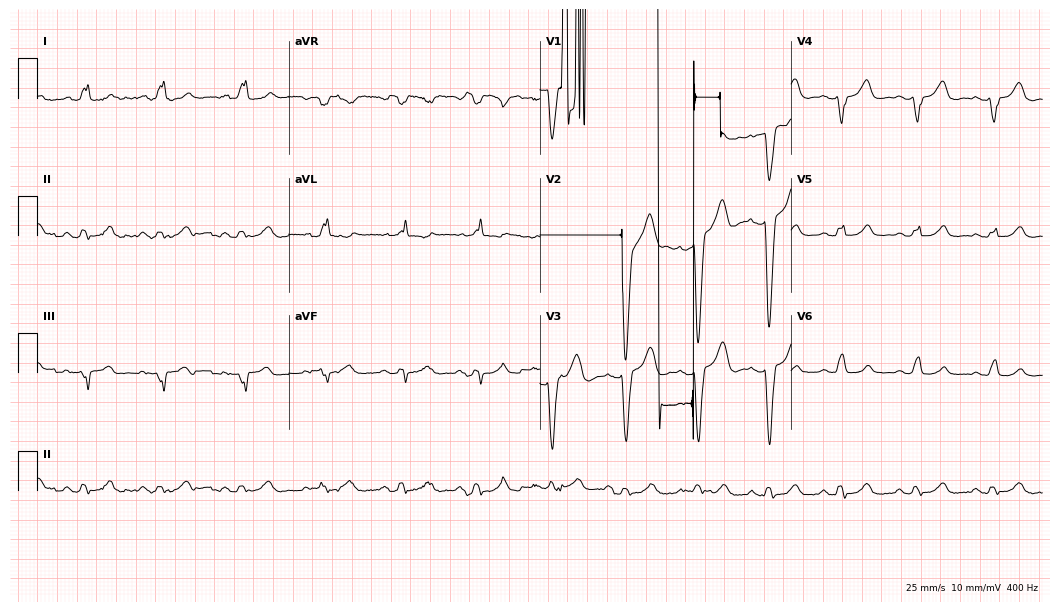
Standard 12-lead ECG recorded from a woman, 52 years old (10.2-second recording at 400 Hz). None of these six findings is recorded: first-degree AV block, right bundle branch block, left bundle branch block, sinus bradycardia, atrial fibrillation, sinus tachycardia.